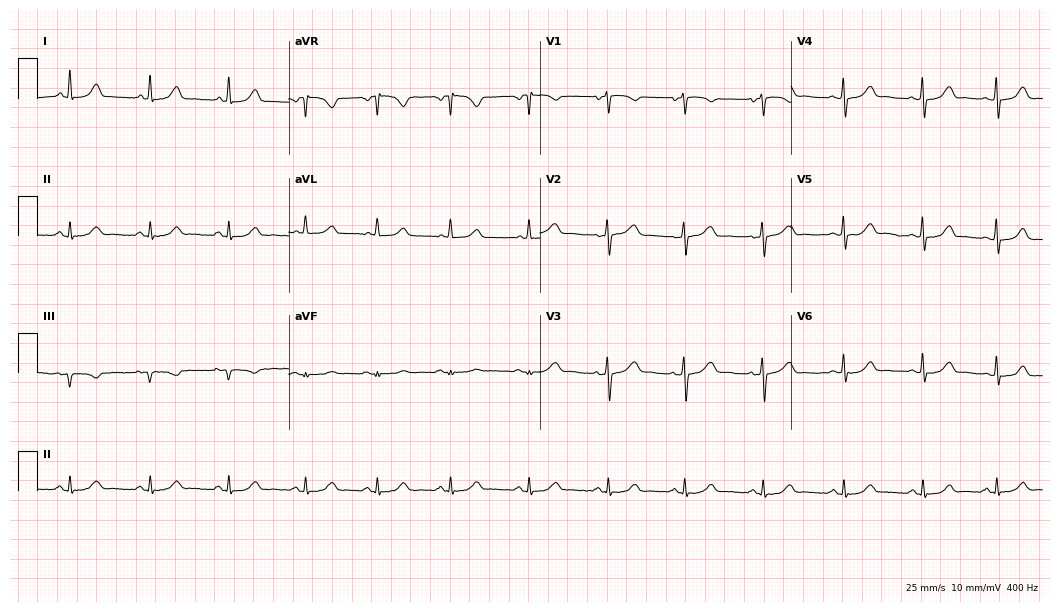
Electrocardiogram, a 32-year-old woman. Overall reading on record: normal ECG.